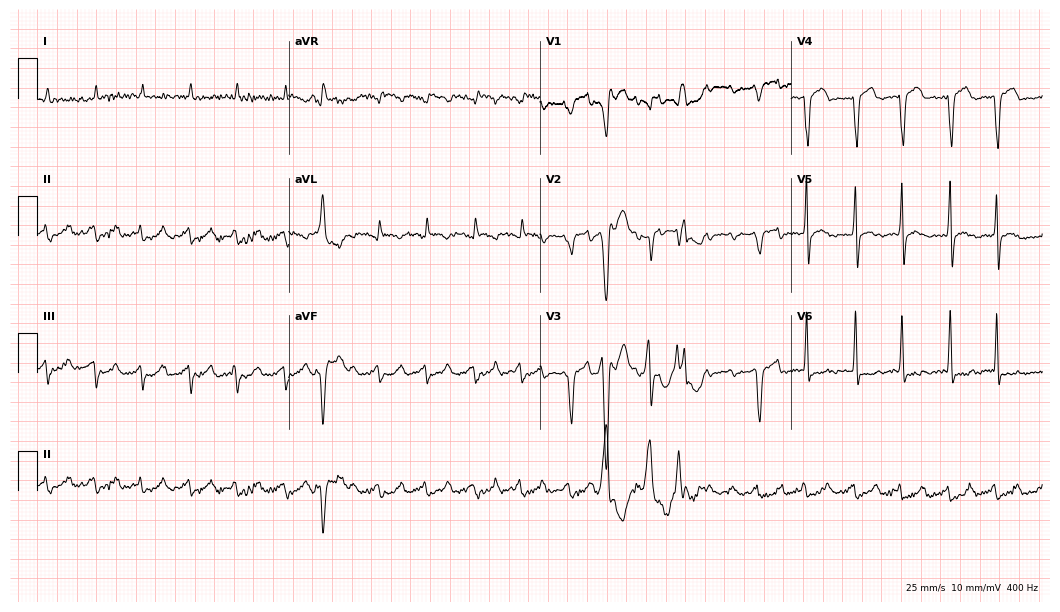
Electrocardiogram (10.2-second recording at 400 Hz), a male, 88 years old. Of the six screened findings (first-degree AV block, right bundle branch block, left bundle branch block, sinus bradycardia, atrial fibrillation, sinus tachycardia), none is recorded. Findings outside these six are not listed.